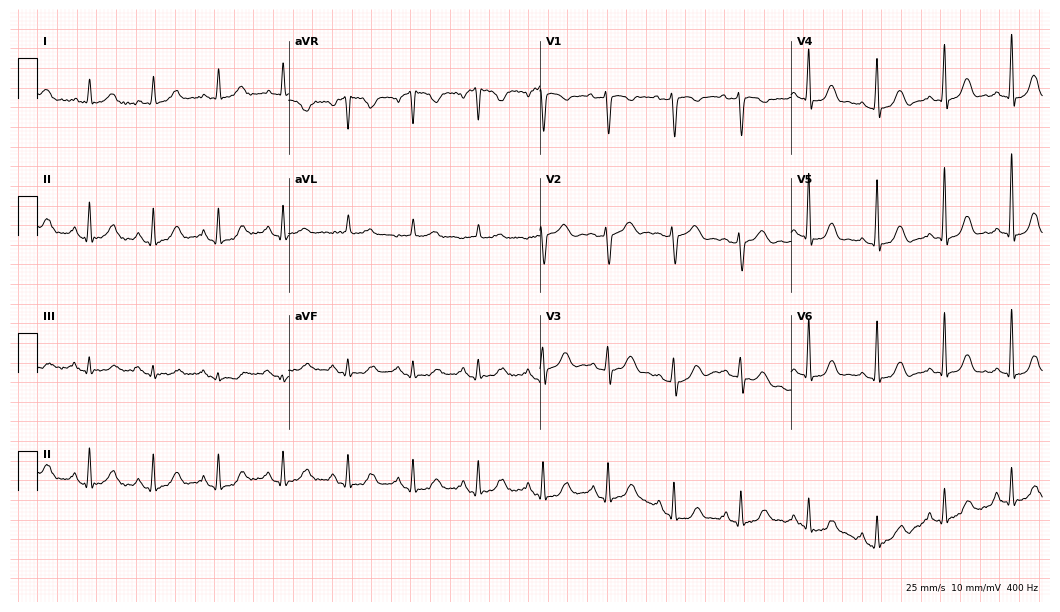
12-lead ECG (10.2-second recording at 400 Hz) from a female, 64 years old. Labelled as a normal ECG.